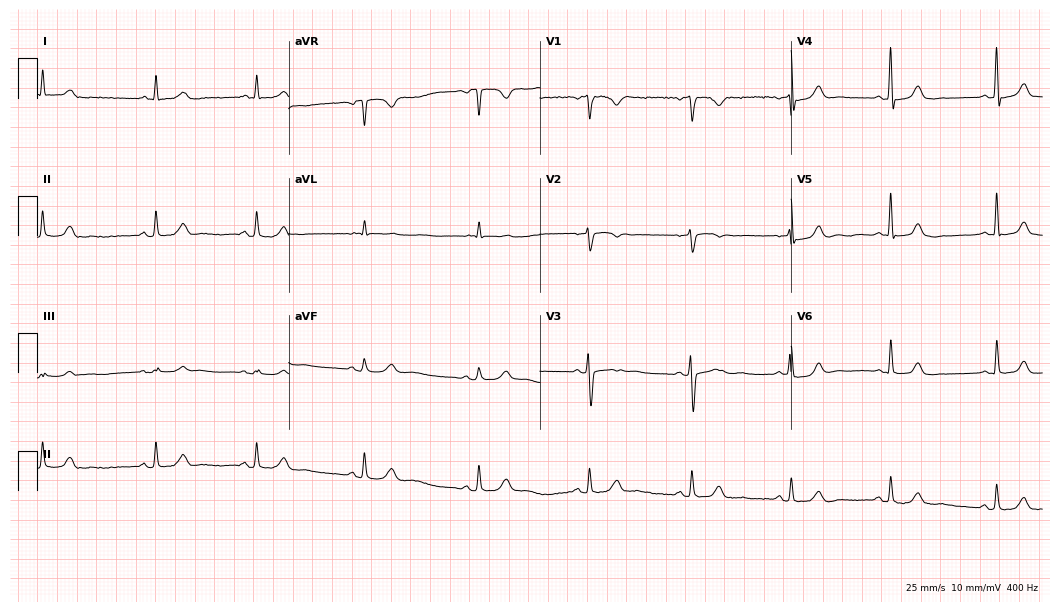
12-lead ECG (10.2-second recording at 400 Hz) from a female, 29 years old. Labelled as a normal ECG.